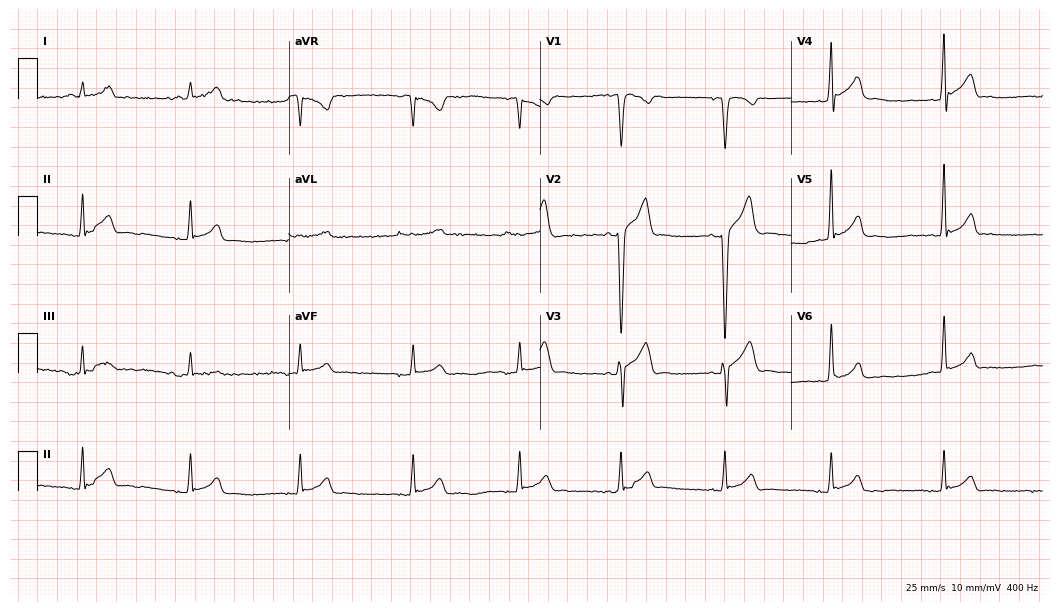
Standard 12-lead ECG recorded from an 18-year-old male patient (10.2-second recording at 400 Hz). Read as a normal ECG.